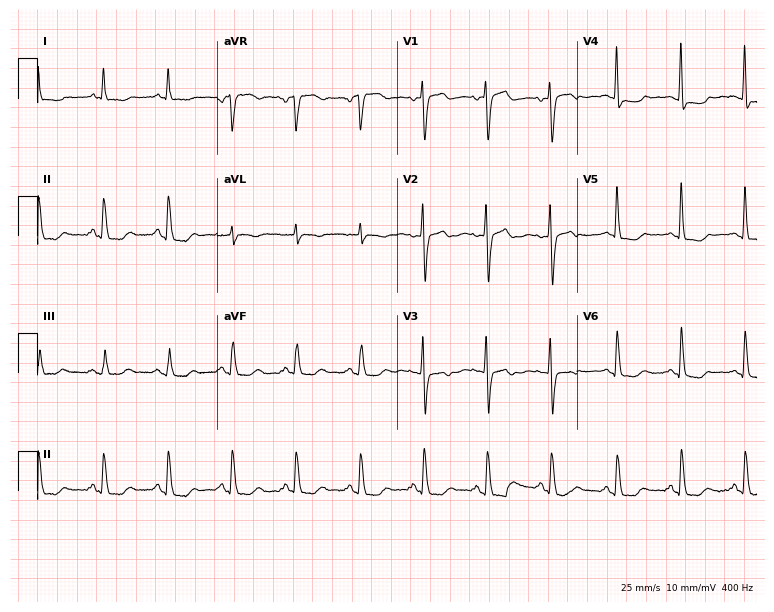
Electrocardiogram, a 51-year-old woman. Of the six screened findings (first-degree AV block, right bundle branch block (RBBB), left bundle branch block (LBBB), sinus bradycardia, atrial fibrillation (AF), sinus tachycardia), none is recorded. Only these six findings were labelled.